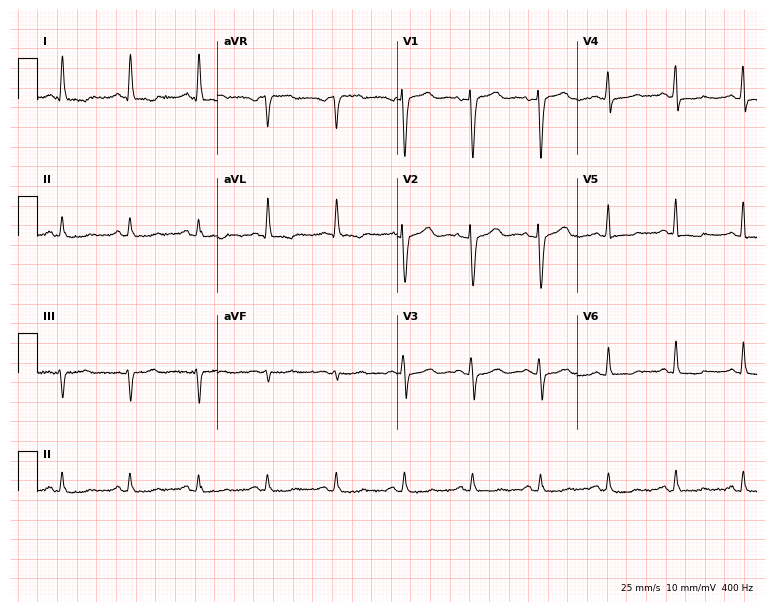
12-lead ECG from a 70-year-old woman. Screened for six findings — first-degree AV block, right bundle branch block, left bundle branch block, sinus bradycardia, atrial fibrillation, sinus tachycardia — none is recorded. Only these six findings were labelled.